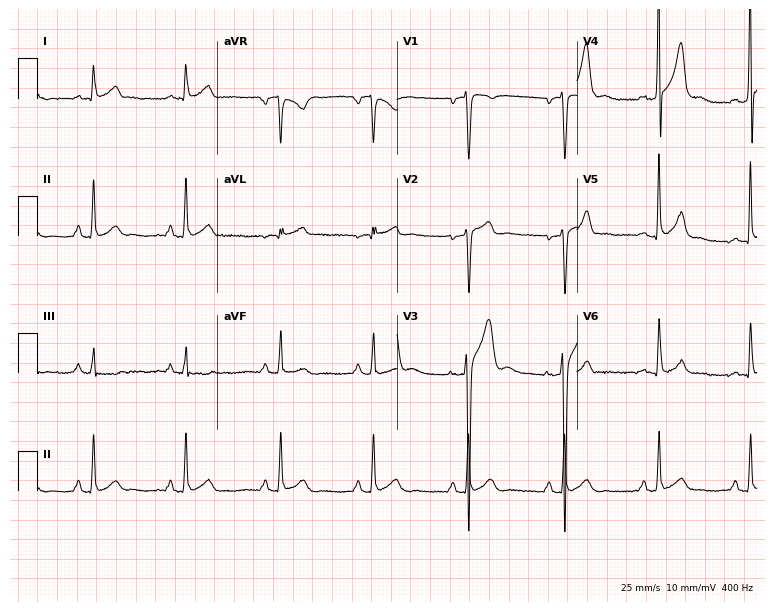
Electrocardiogram (7.3-second recording at 400 Hz), a 24-year-old man. Of the six screened findings (first-degree AV block, right bundle branch block, left bundle branch block, sinus bradycardia, atrial fibrillation, sinus tachycardia), none is recorded.